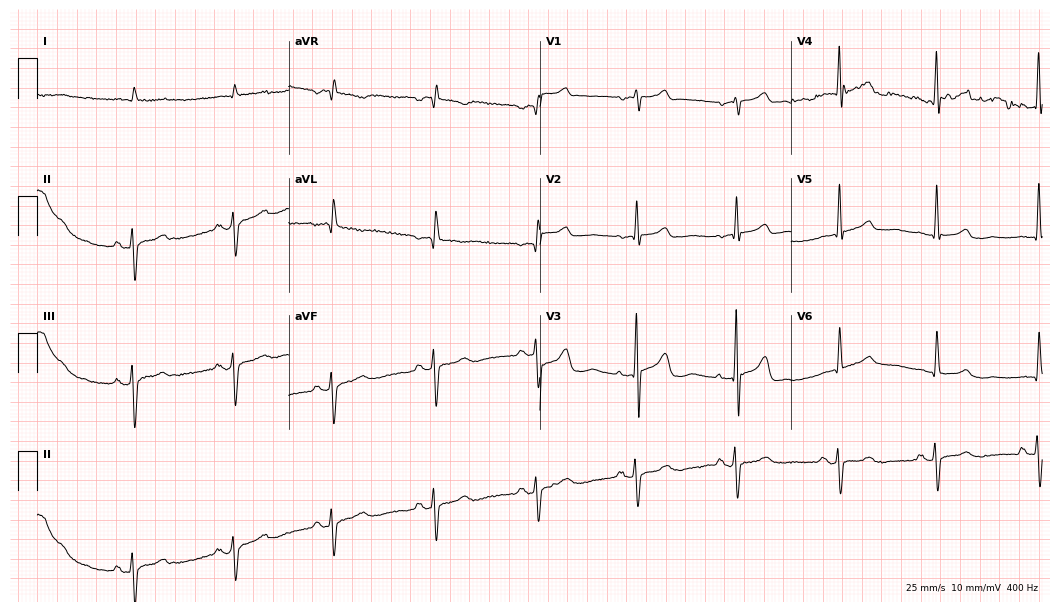
ECG — an 83-year-old male. Screened for six findings — first-degree AV block, right bundle branch block, left bundle branch block, sinus bradycardia, atrial fibrillation, sinus tachycardia — none is recorded.